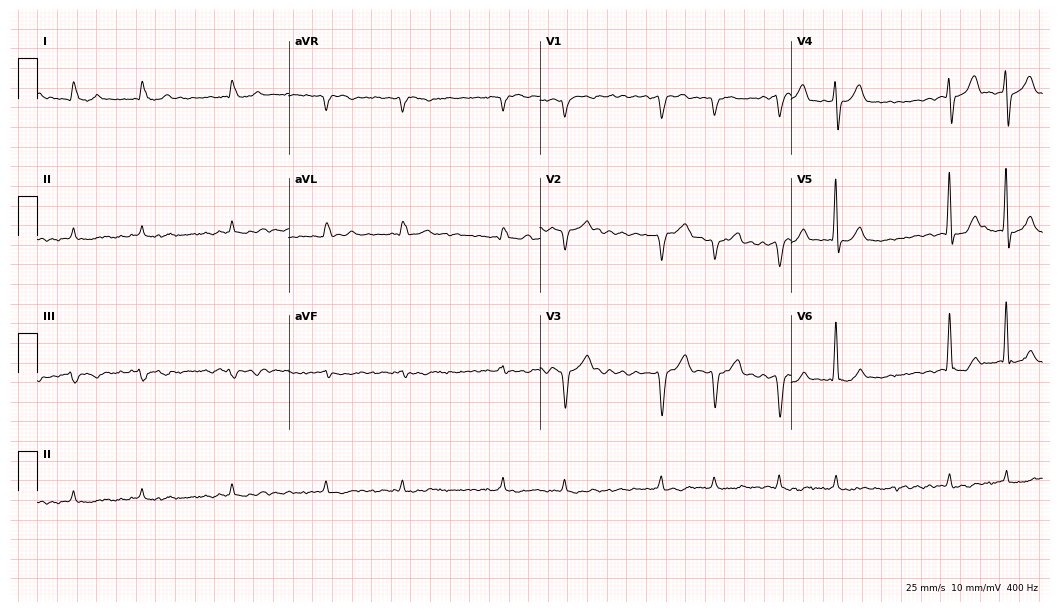
12-lead ECG (10.2-second recording at 400 Hz) from a 63-year-old male. Findings include atrial fibrillation.